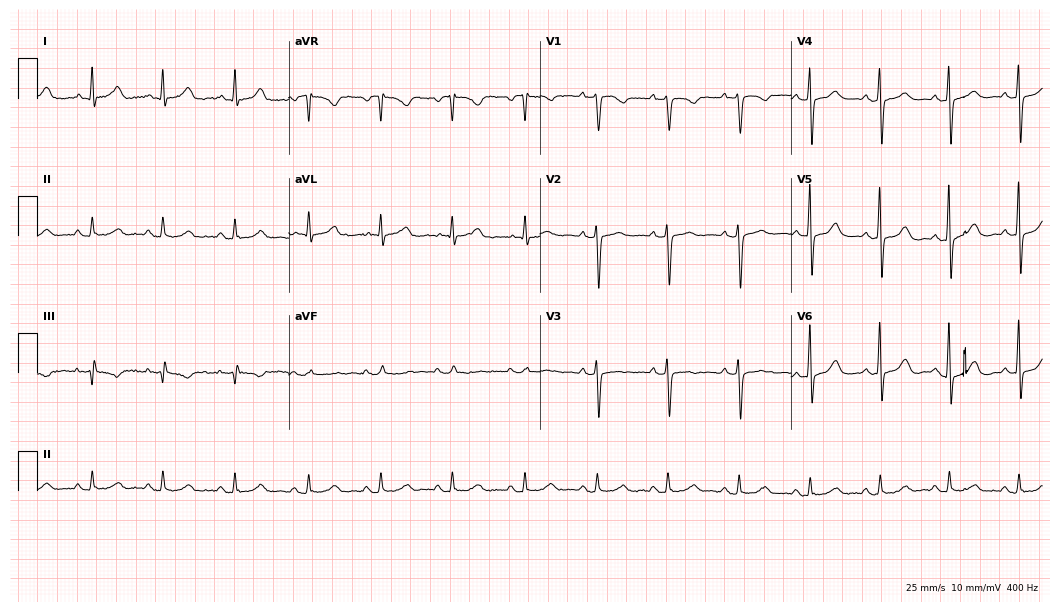
Electrocardiogram, a 64-year-old woman. Of the six screened findings (first-degree AV block, right bundle branch block, left bundle branch block, sinus bradycardia, atrial fibrillation, sinus tachycardia), none is recorded.